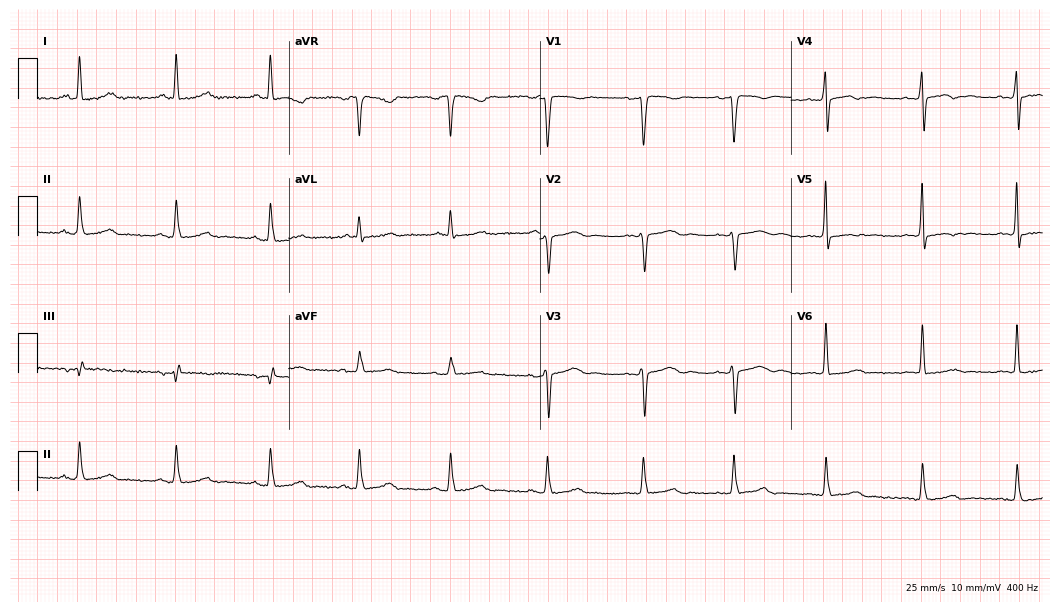
Resting 12-lead electrocardiogram. Patient: a 48-year-old female. Read as a normal ECG.